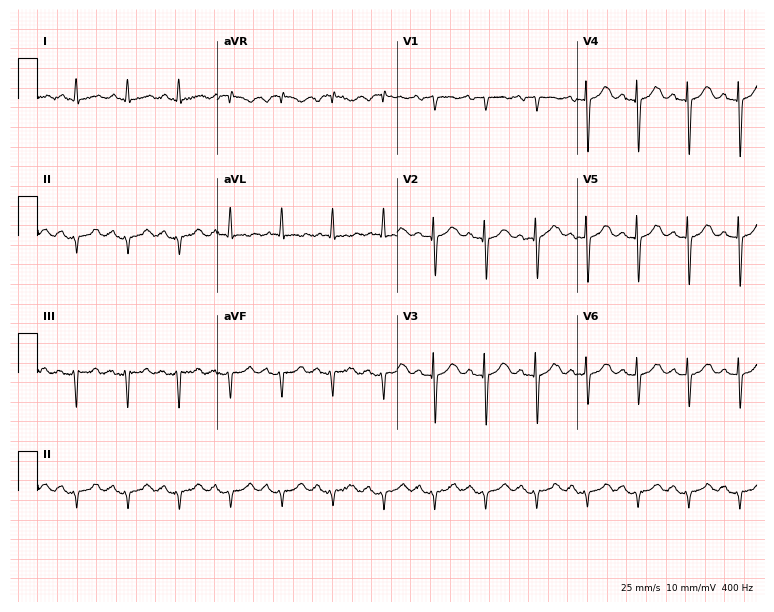
12-lead ECG from a female patient, 63 years old. Findings include sinus tachycardia (a sinus rate of 100 beats per minute or more).